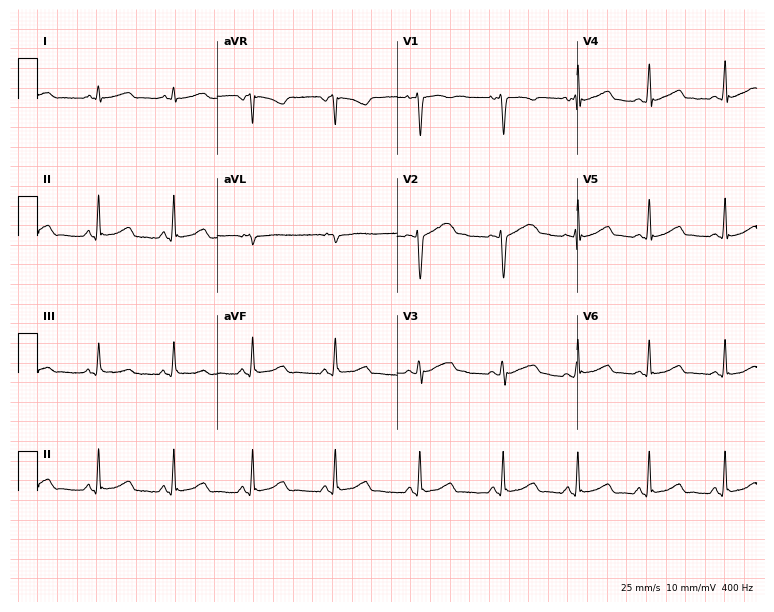
Electrocardiogram (7.3-second recording at 400 Hz), a woman, 19 years old. Overall reading on record: normal ECG.